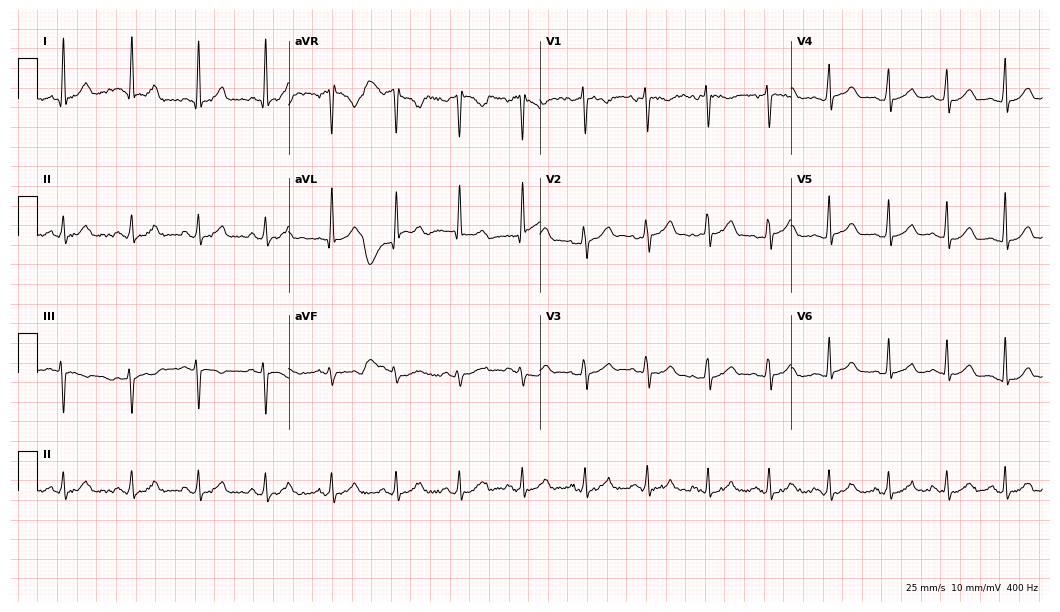
12-lead ECG from a 30-year-old female patient. Labelled as a normal ECG.